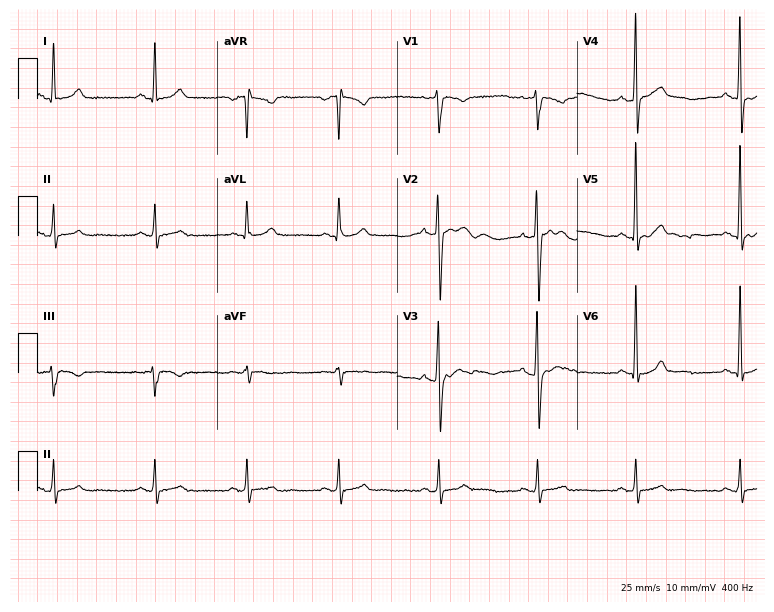
ECG — a 32-year-old man. Labelled as a normal ECG.